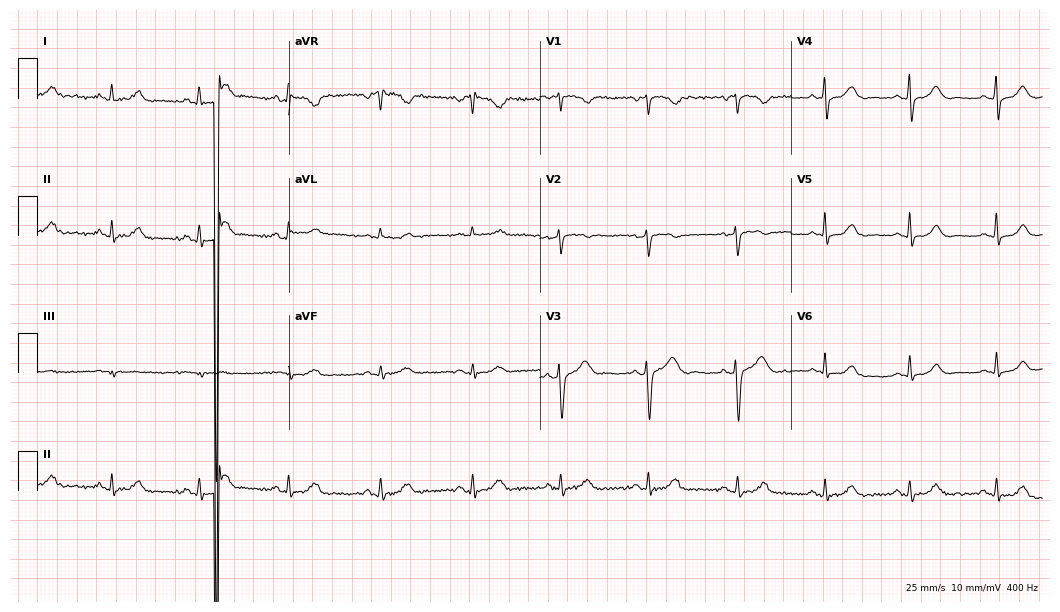
Standard 12-lead ECG recorded from a 30-year-old female patient. Read as a normal ECG.